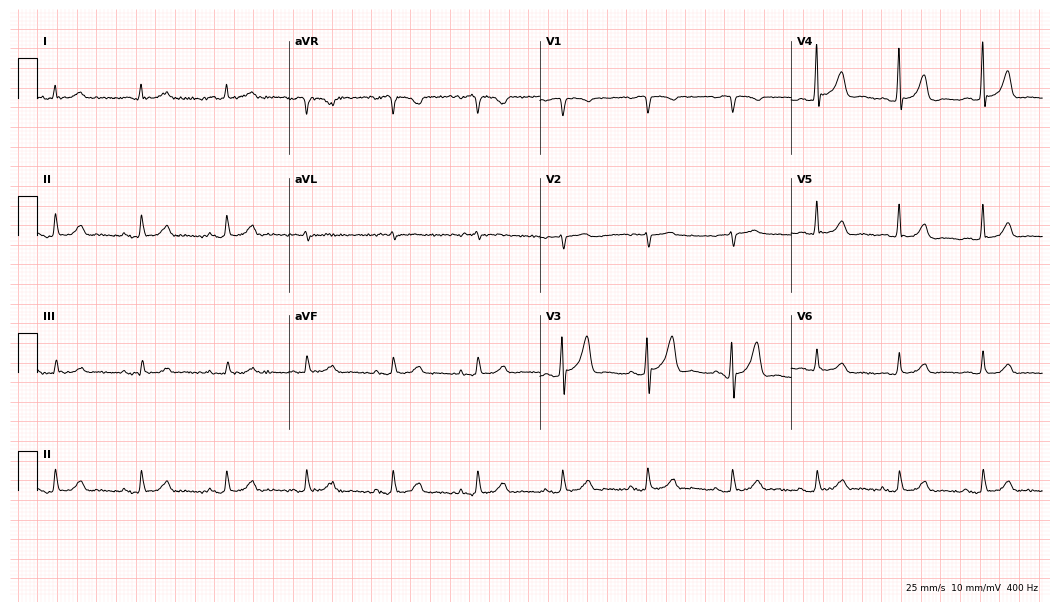
ECG — a male patient, 81 years old. Screened for six findings — first-degree AV block, right bundle branch block, left bundle branch block, sinus bradycardia, atrial fibrillation, sinus tachycardia — none is recorded. Only these six findings were labelled.